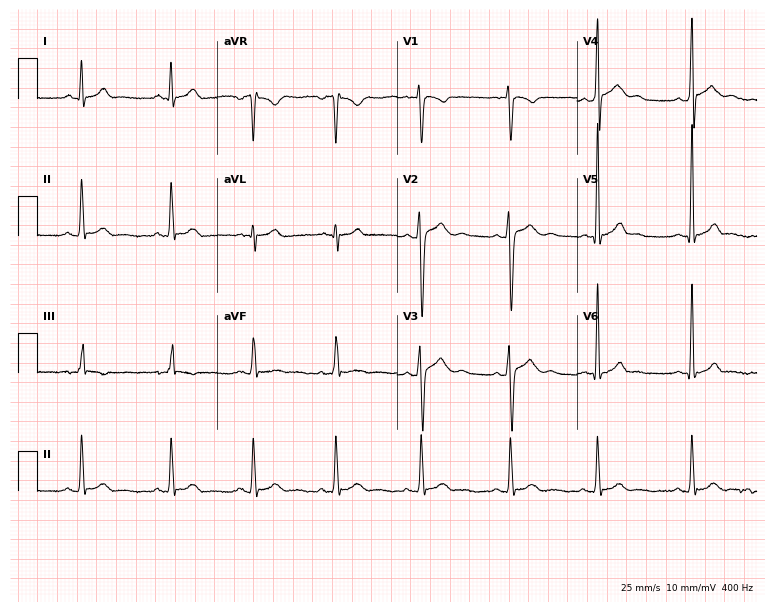
Resting 12-lead electrocardiogram. Patient: a 20-year-old male. None of these six findings is recorded: first-degree AV block, right bundle branch block, left bundle branch block, sinus bradycardia, atrial fibrillation, sinus tachycardia. Findings outside these six are not listed.